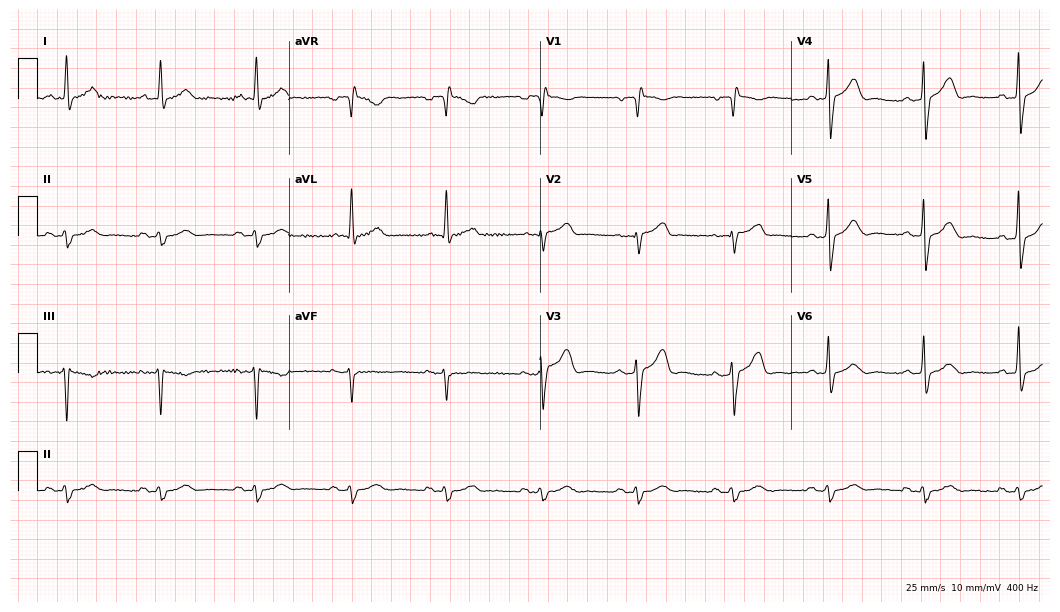
12-lead ECG from a male, 76 years old. No first-degree AV block, right bundle branch block, left bundle branch block, sinus bradycardia, atrial fibrillation or sinus tachycardia recorded for this tracing. Only these six findings were labelled.